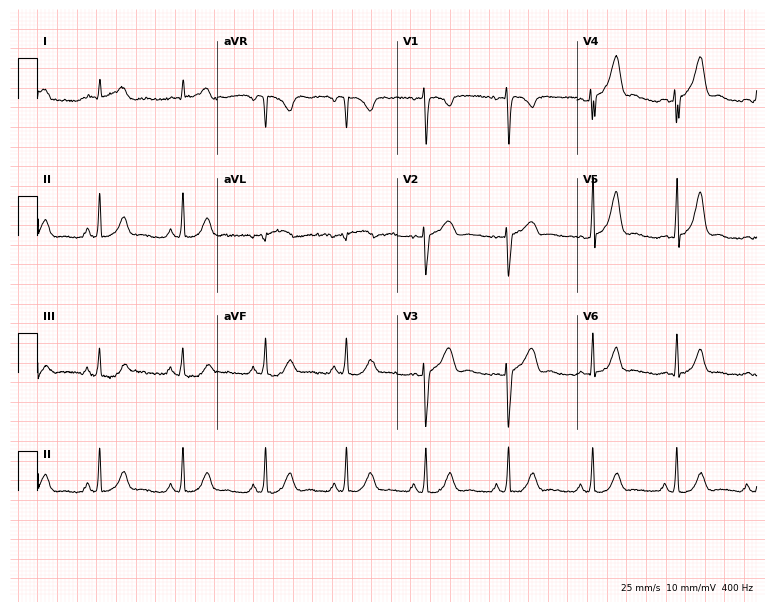
ECG (7.3-second recording at 400 Hz) — a 32-year-old female. Labelled as a normal ECG.